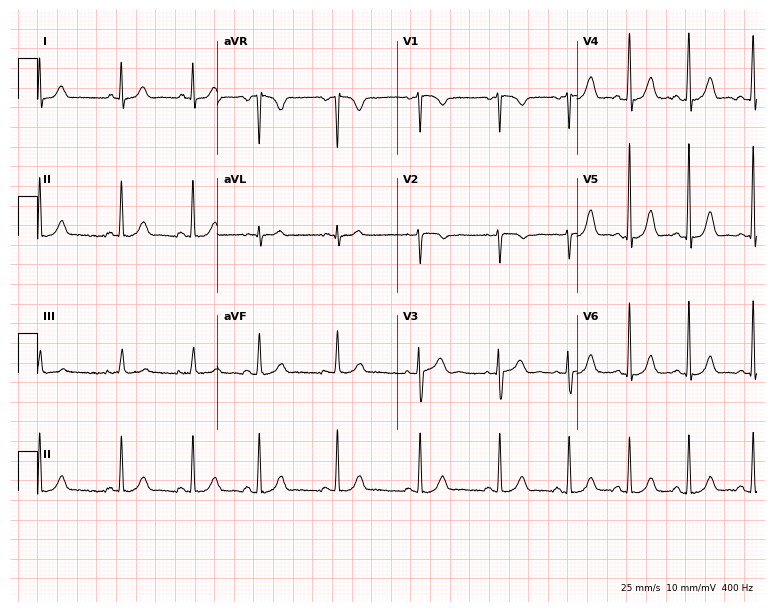
Electrocardiogram, a 29-year-old woman. Overall reading on record: normal ECG.